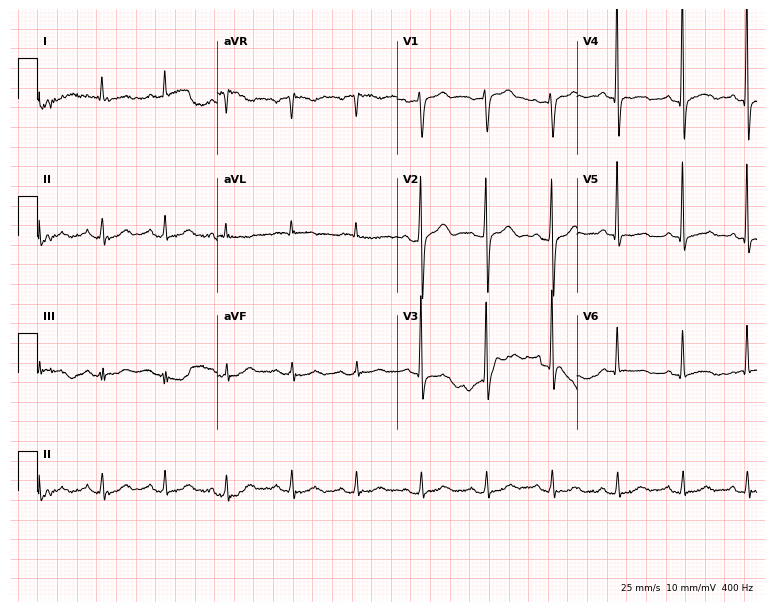
12-lead ECG from a 75-year-old male. Screened for six findings — first-degree AV block, right bundle branch block (RBBB), left bundle branch block (LBBB), sinus bradycardia, atrial fibrillation (AF), sinus tachycardia — none is recorded. Only these six findings were labelled.